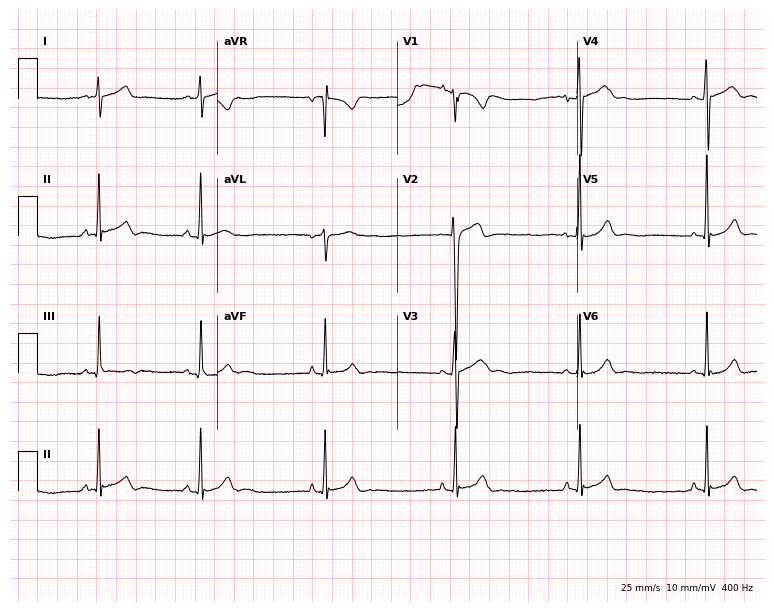
12-lead ECG (7.3-second recording at 400 Hz) from a male, 18 years old. Screened for six findings — first-degree AV block, right bundle branch block, left bundle branch block, sinus bradycardia, atrial fibrillation, sinus tachycardia — none is recorded.